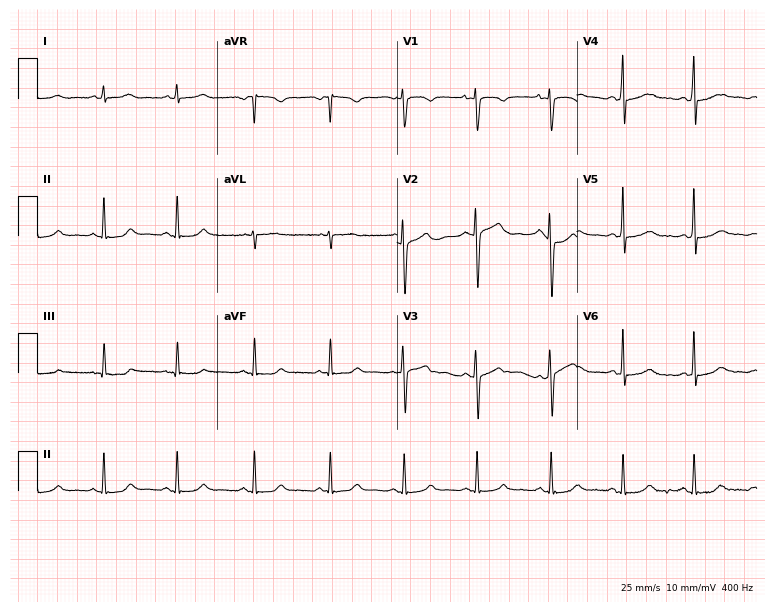
12-lead ECG (7.3-second recording at 400 Hz) from a female, 27 years old. Labelled as a normal ECG.